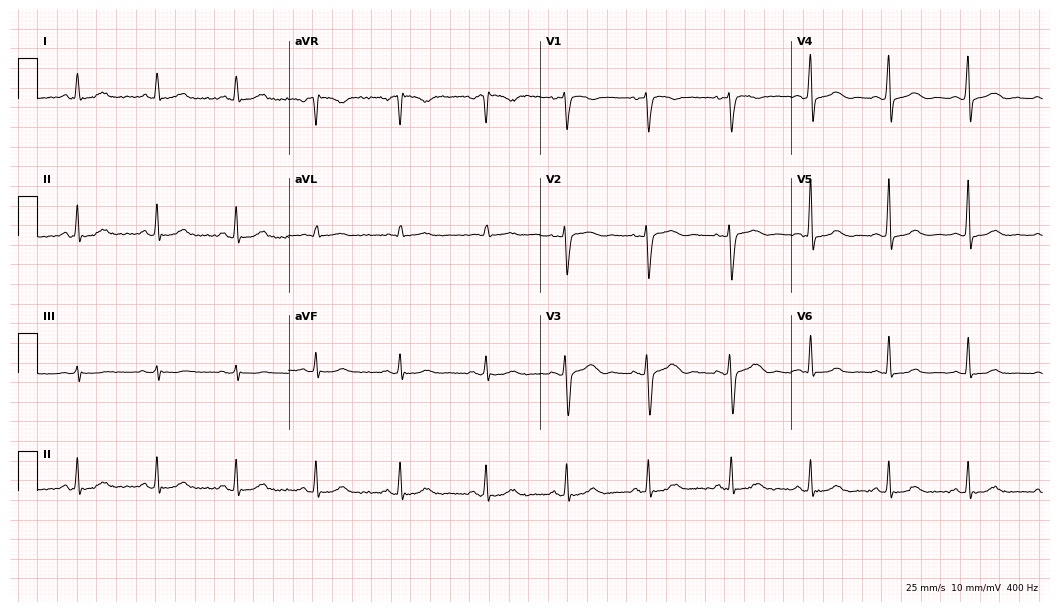
Resting 12-lead electrocardiogram. Patient: a female, 48 years old. None of these six findings is recorded: first-degree AV block, right bundle branch block (RBBB), left bundle branch block (LBBB), sinus bradycardia, atrial fibrillation (AF), sinus tachycardia.